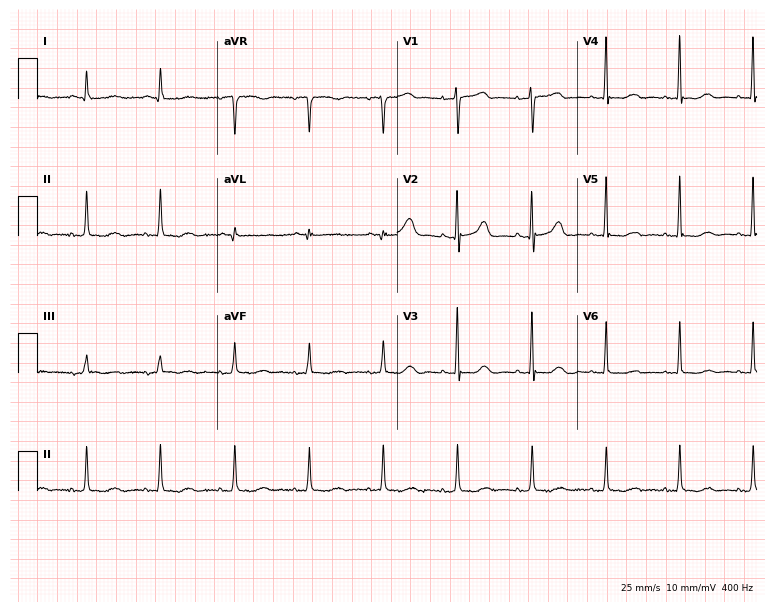
Resting 12-lead electrocardiogram. Patient: a female, 75 years old. None of these six findings is recorded: first-degree AV block, right bundle branch block, left bundle branch block, sinus bradycardia, atrial fibrillation, sinus tachycardia.